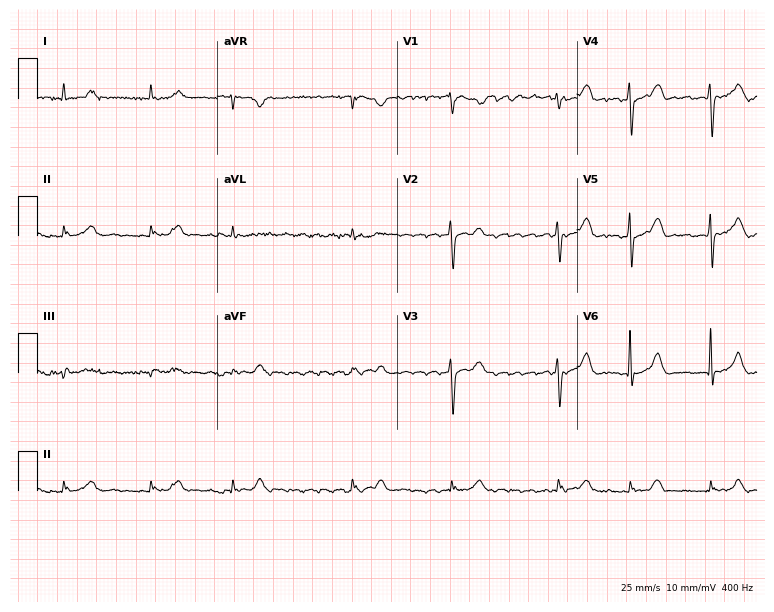
Electrocardiogram (7.3-second recording at 400 Hz), a male, 83 years old. Interpretation includes atrial fibrillation.